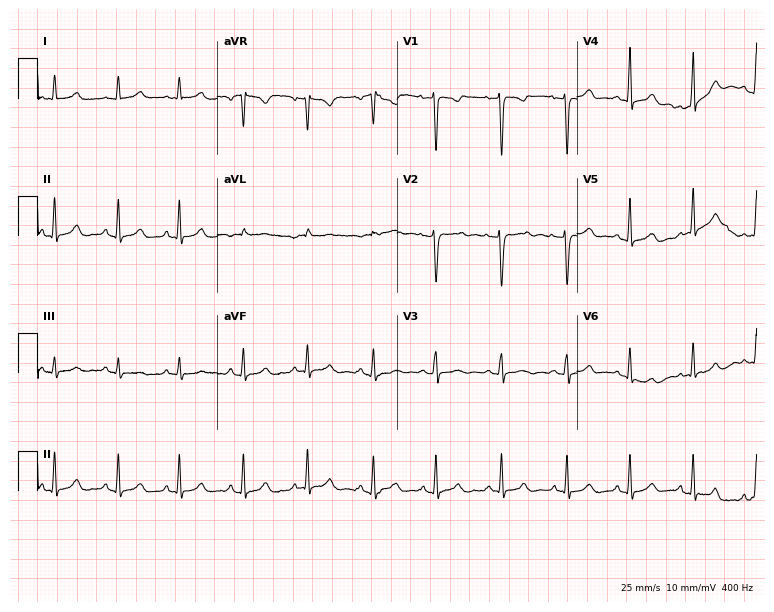
Resting 12-lead electrocardiogram. Patient: a 23-year-old female. Read as a normal ECG.